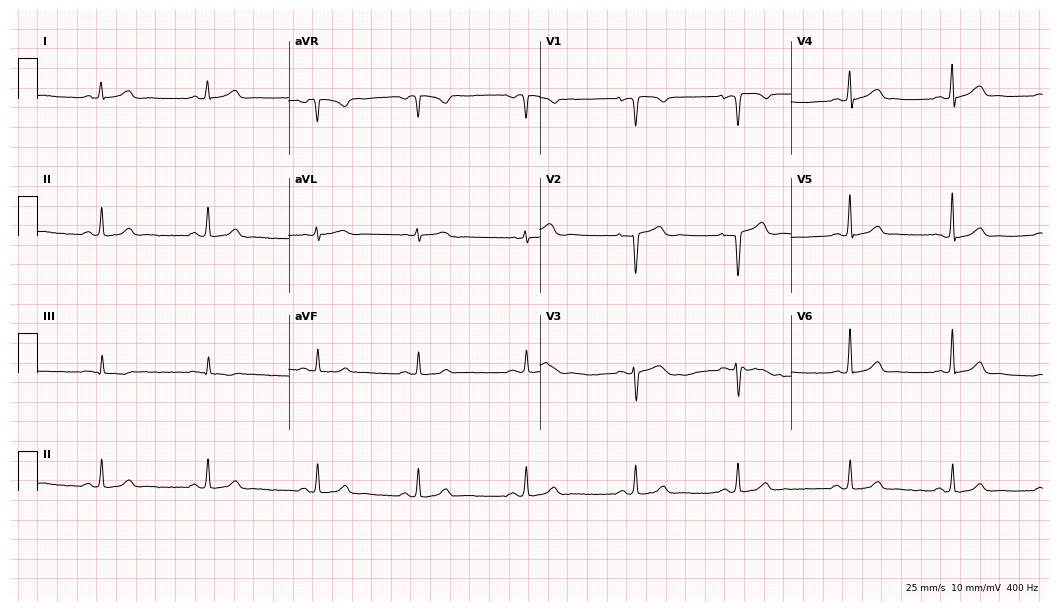
ECG — a female, 26 years old. Screened for six findings — first-degree AV block, right bundle branch block, left bundle branch block, sinus bradycardia, atrial fibrillation, sinus tachycardia — none is recorded. Findings outside these six are not listed.